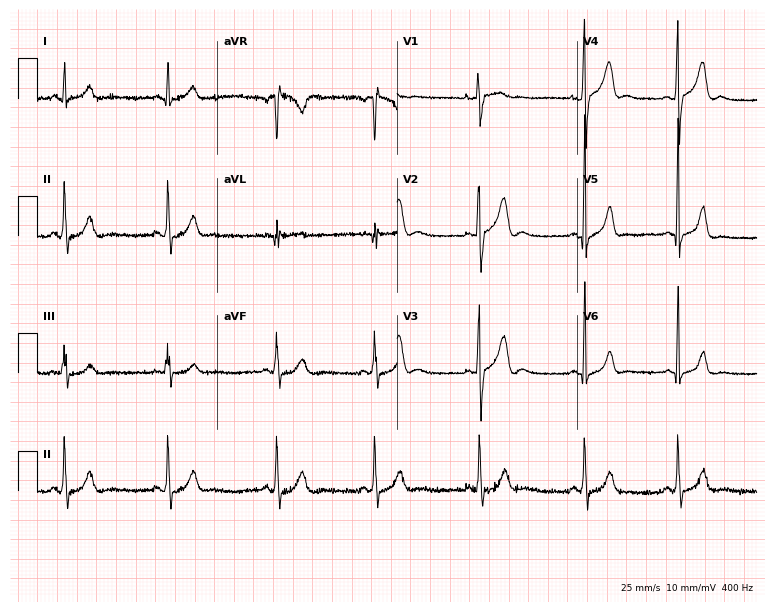
Electrocardiogram (7.3-second recording at 400 Hz), a 17-year-old male patient. Of the six screened findings (first-degree AV block, right bundle branch block (RBBB), left bundle branch block (LBBB), sinus bradycardia, atrial fibrillation (AF), sinus tachycardia), none is recorded. Findings outside these six are not listed.